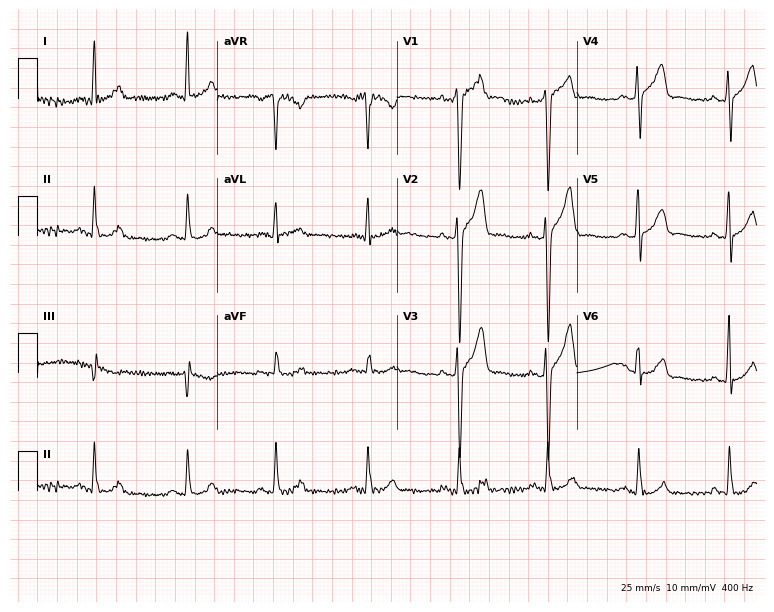
12-lead ECG from a male patient, 50 years old. No first-degree AV block, right bundle branch block (RBBB), left bundle branch block (LBBB), sinus bradycardia, atrial fibrillation (AF) or sinus tachycardia recorded for this tracing.